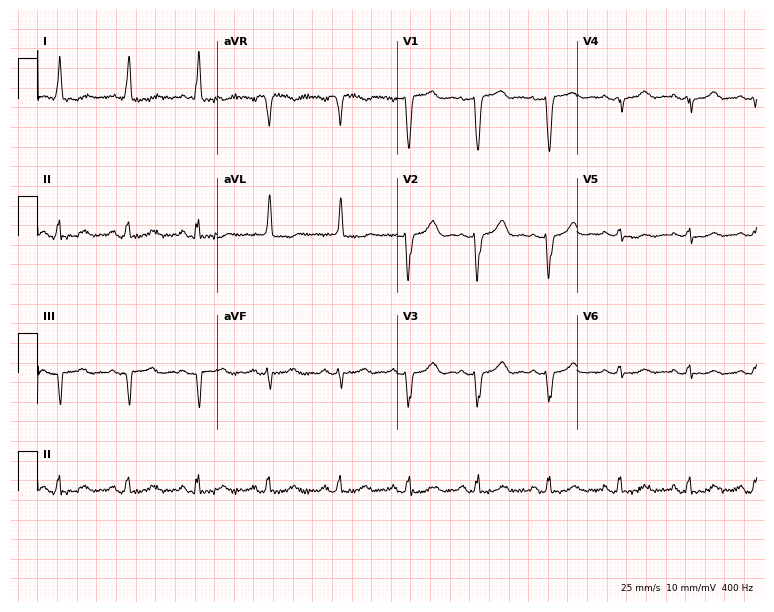
ECG — a 62-year-old woman. Screened for six findings — first-degree AV block, right bundle branch block, left bundle branch block, sinus bradycardia, atrial fibrillation, sinus tachycardia — none is recorded.